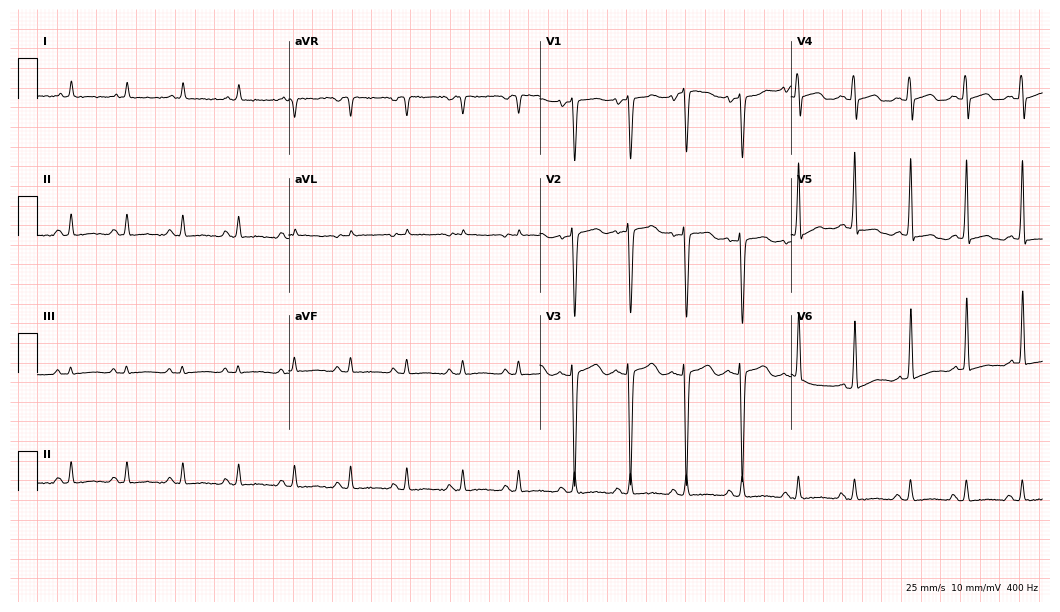
ECG — a 62-year-old man. Screened for six findings — first-degree AV block, right bundle branch block (RBBB), left bundle branch block (LBBB), sinus bradycardia, atrial fibrillation (AF), sinus tachycardia — none is recorded. Other findings, if any, are not listed.